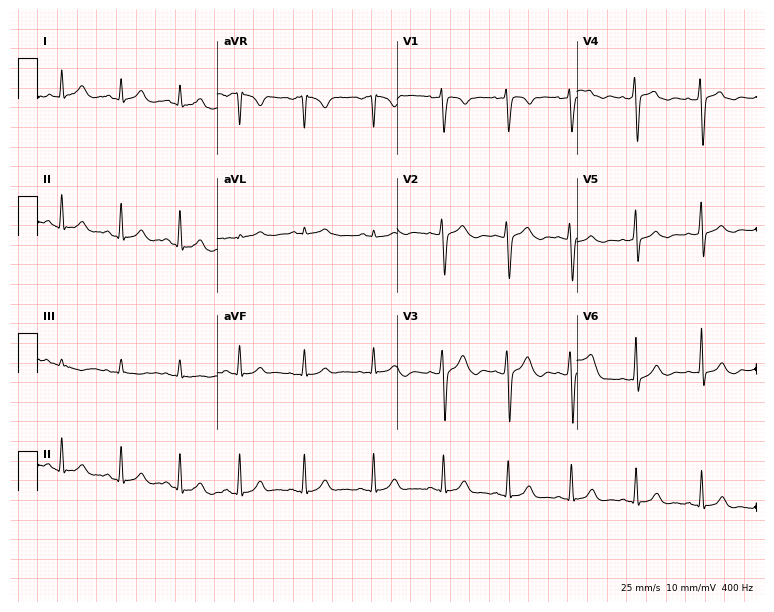
Standard 12-lead ECG recorded from a 25-year-old woman (7.3-second recording at 400 Hz). None of these six findings is recorded: first-degree AV block, right bundle branch block (RBBB), left bundle branch block (LBBB), sinus bradycardia, atrial fibrillation (AF), sinus tachycardia. Other findings, if any, are not listed.